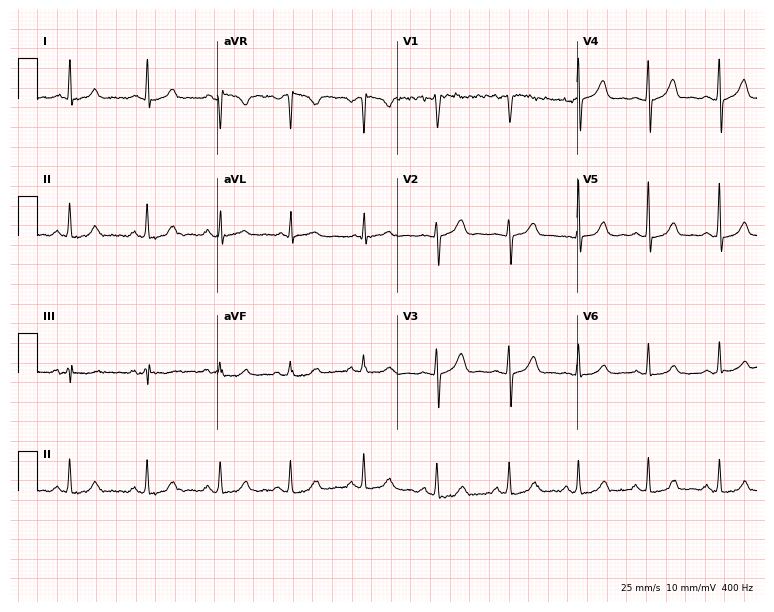
12-lead ECG (7.3-second recording at 400 Hz) from a 42-year-old female. Labelled as a normal ECG.